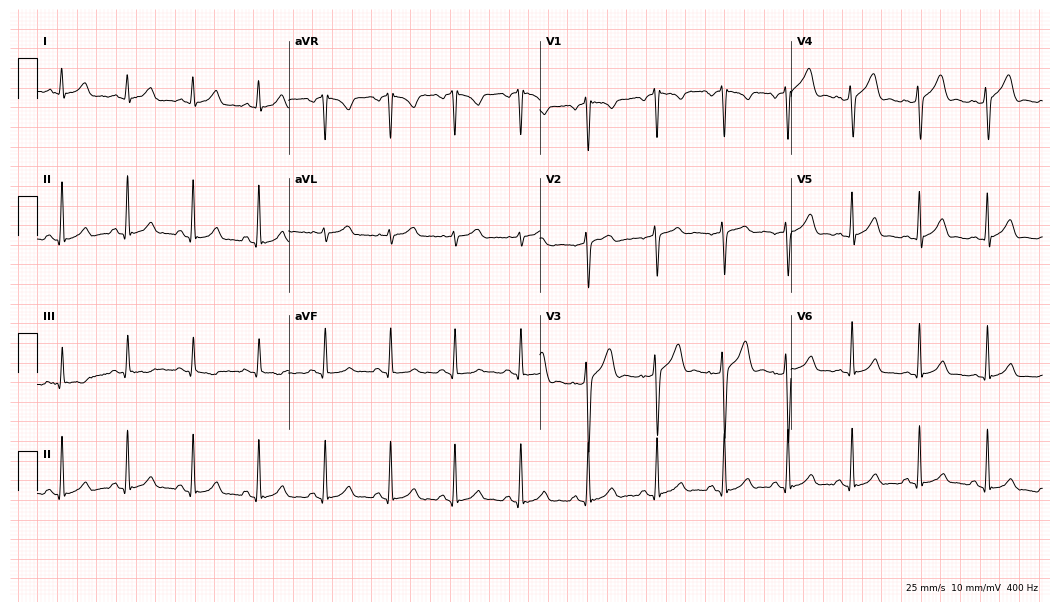
12-lead ECG from a male patient, 31 years old. Labelled as a normal ECG.